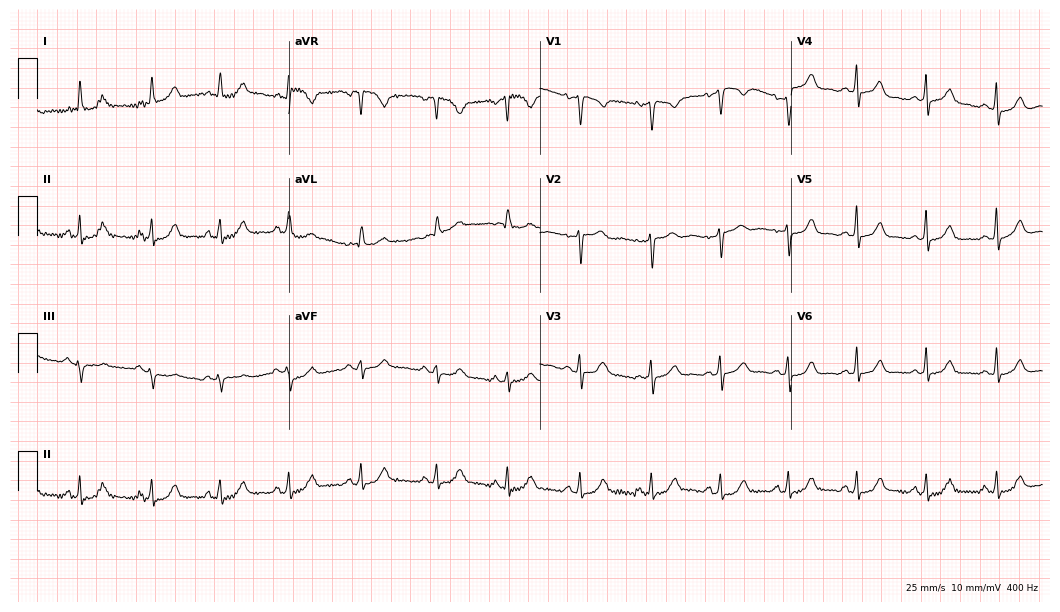
ECG (10.2-second recording at 400 Hz) — a 43-year-old female patient. Labelled as a normal ECG.